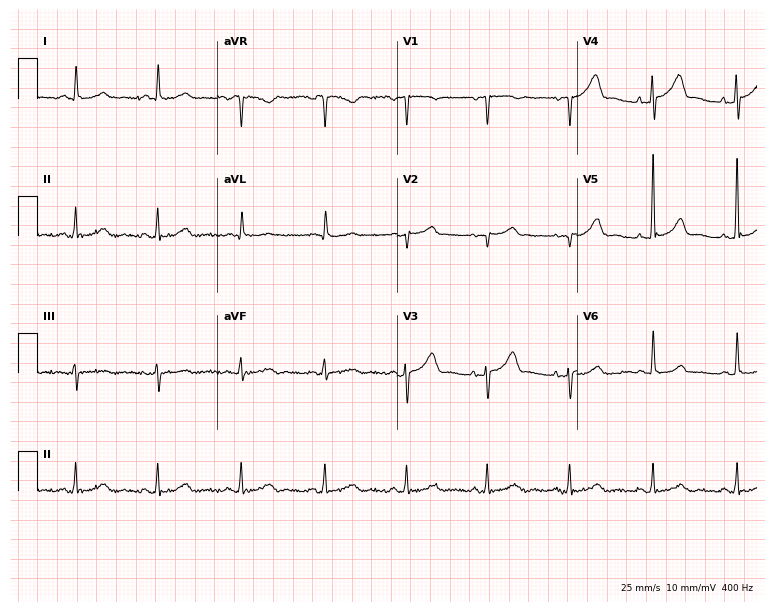
12-lead ECG (7.3-second recording at 400 Hz) from a 62-year-old man. Screened for six findings — first-degree AV block, right bundle branch block, left bundle branch block, sinus bradycardia, atrial fibrillation, sinus tachycardia — none is recorded.